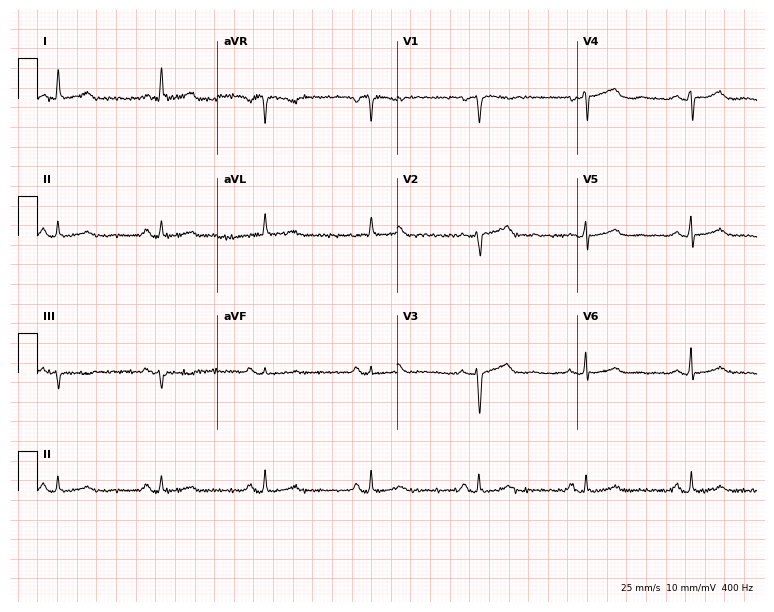
ECG — a 69-year-old female patient. Screened for six findings — first-degree AV block, right bundle branch block, left bundle branch block, sinus bradycardia, atrial fibrillation, sinus tachycardia — none is recorded.